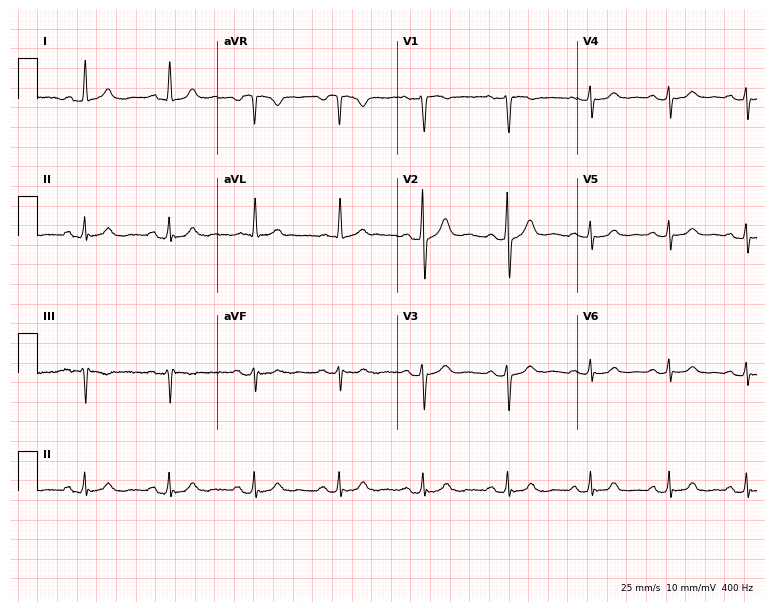
12-lead ECG from a male, 62 years old. Labelled as a normal ECG.